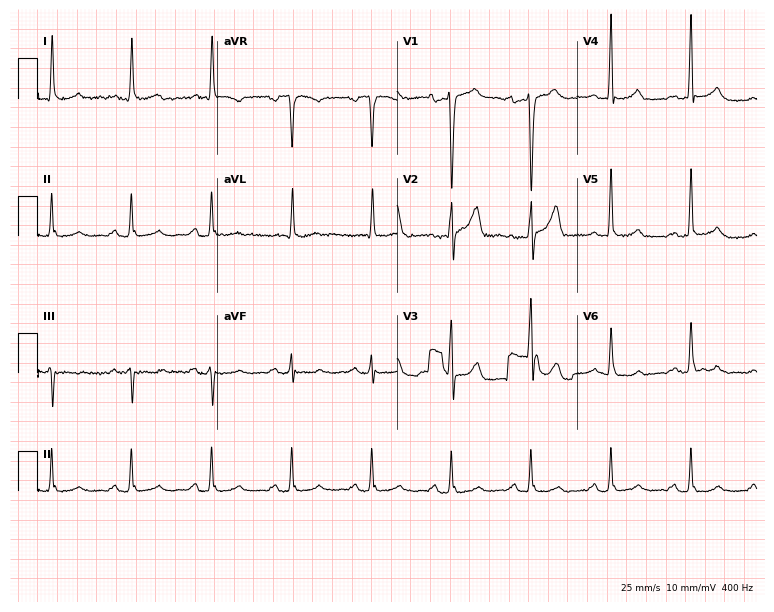
Resting 12-lead electrocardiogram (7.3-second recording at 400 Hz). Patient: a 60-year-old female. None of these six findings is recorded: first-degree AV block, right bundle branch block, left bundle branch block, sinus bradycardia, atrial fibrillation, sinus tachycardia.